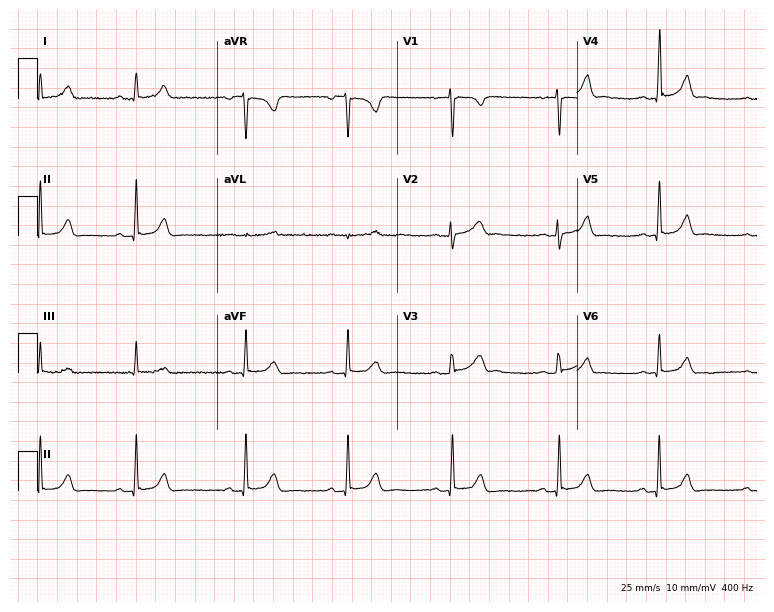
Standard 12-lead ECG recorded from a female, 27 years old. Read as a normal ECG.